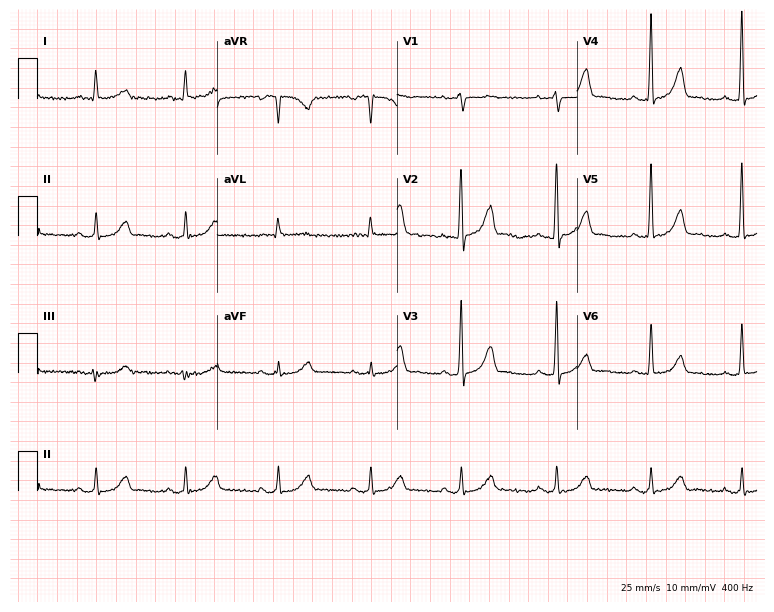
Standard 12-lead ECG recorded from a woman, 75 years old. Read as a normal ECG.